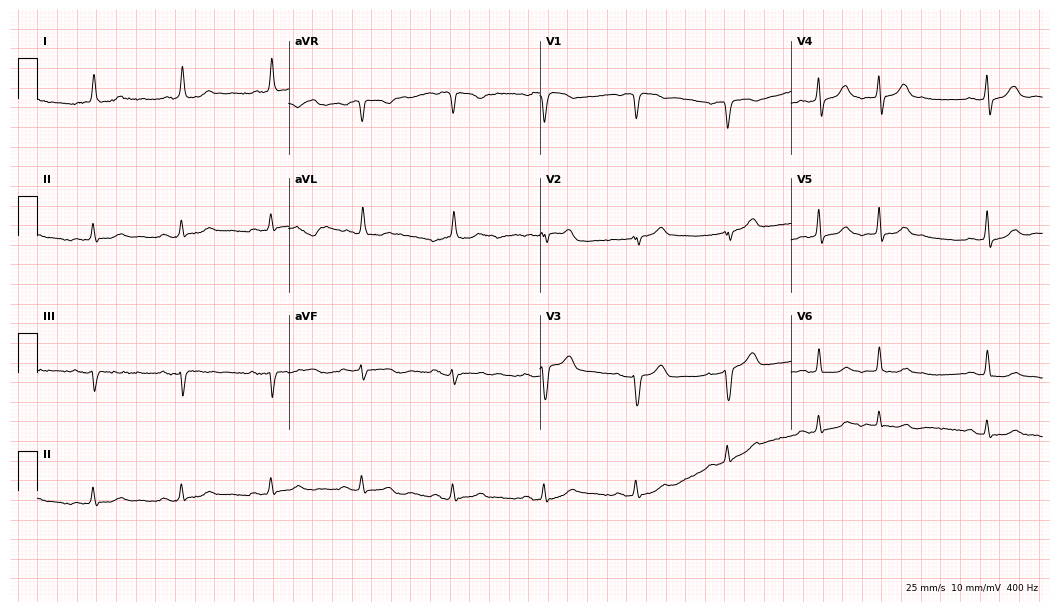
ECG (10.2-second recording at 400 Hz) — a 78-year-old female. Screened for six findings — first-degree AV block, right bundle branch block, left bundle branch block, sinus bradycardia, atrial fibrillation, sinus tachycardia — none is recorded. Findings outside these six are not listed.